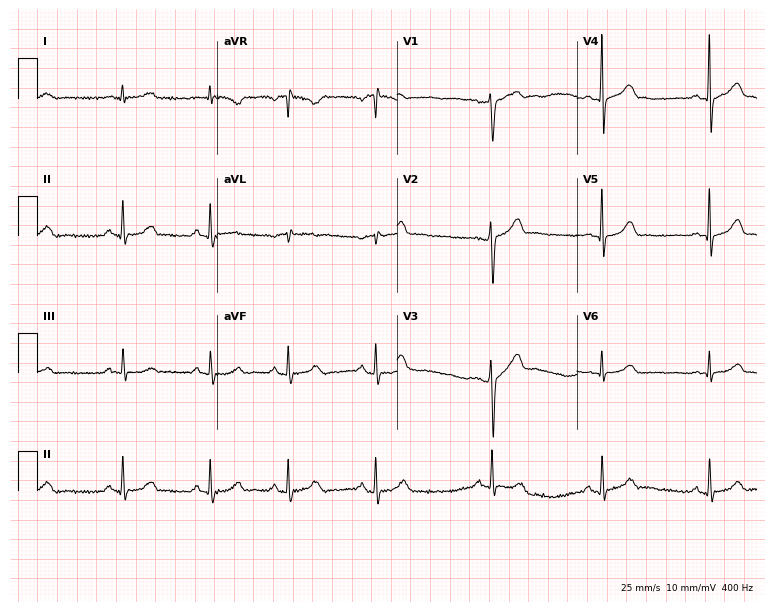
Standard 12-lead ECG recorded from a male, 38 years old (7.3-second recording at 400 Hz). Read as a normal ECG.